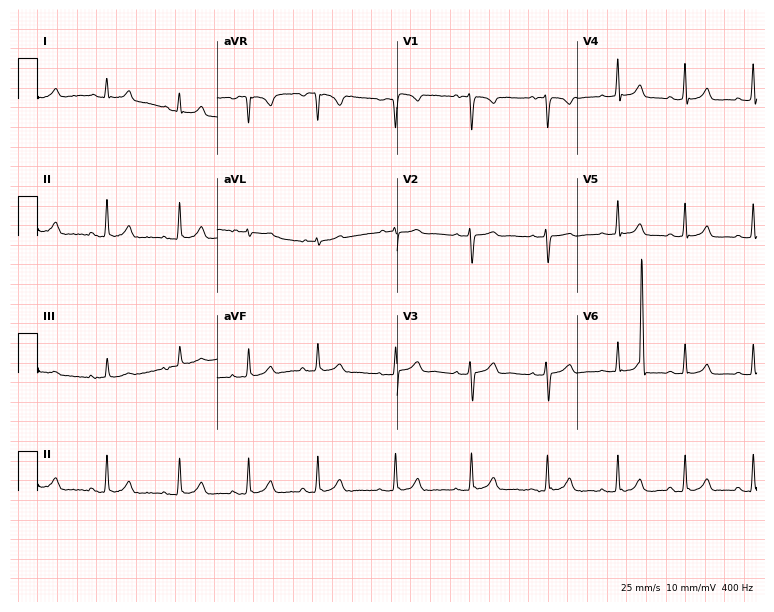
Resting 12-lead electrocardiogram (7.3-second recording at 400 Hz). Patient: a 17-year-old female. None of these six findings is recorded: first-degree AV block, right bundle branch block, left bundle branch block, sinus bradycardia, atrial fibrillation, sinus tachycardia. Only these six findings were labelled.